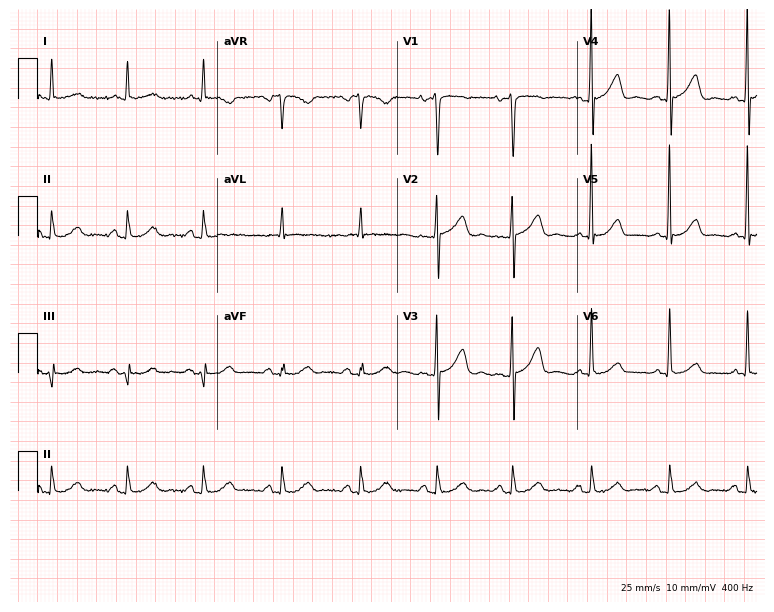
Electrocardiogram, a 68-year-old female patient. Overall reading on record: normal ECG.